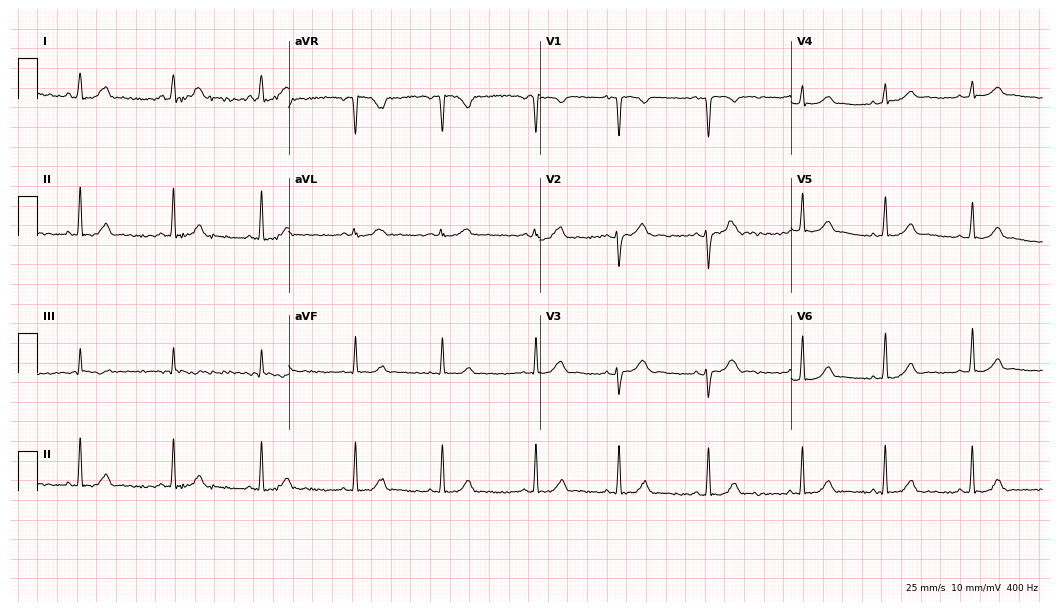
ECG — a 21-year-old female. Labelled as a normal ECG.